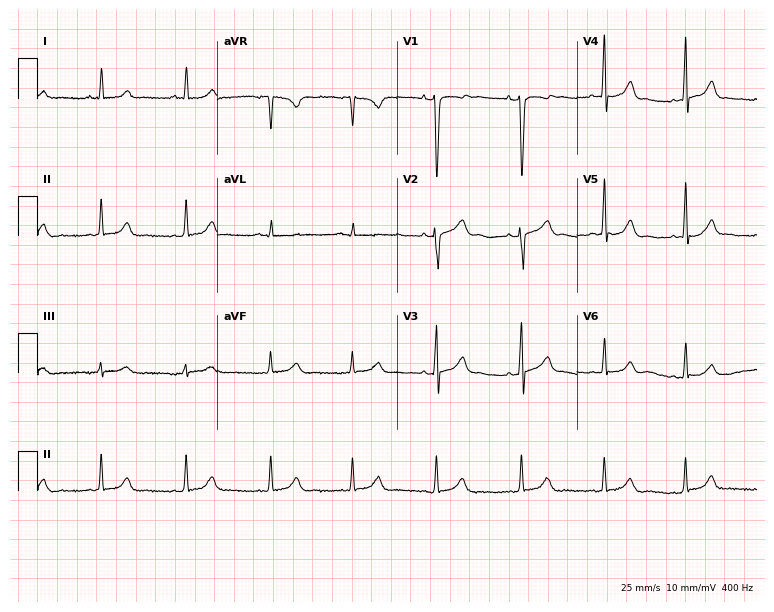
12-lead ECG from a 41-year-old female patient. No first-degree AV block, right bundle branch block (RBBB), left bundle branch block (LBBB), sinus bradycardia, atrial fibrillation (AF) or sinus tachycardia recorded for this tracing.